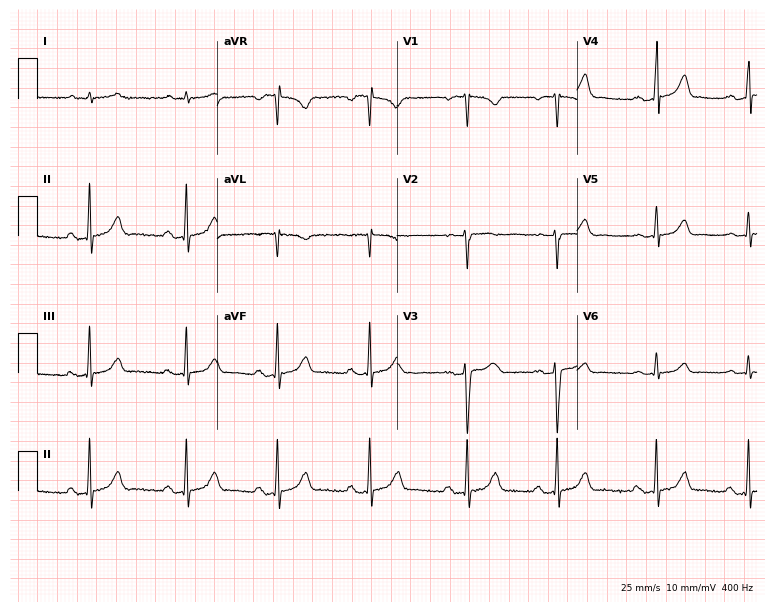
ECG — a woman, 20 years old. Screened for six findings — first-degree AV block, right bundle branch block, left bundle branch block, sinus bradycardia, atrial fibrillation, sinus tachycardia — none is recorded. Findings outside these six are not listed.